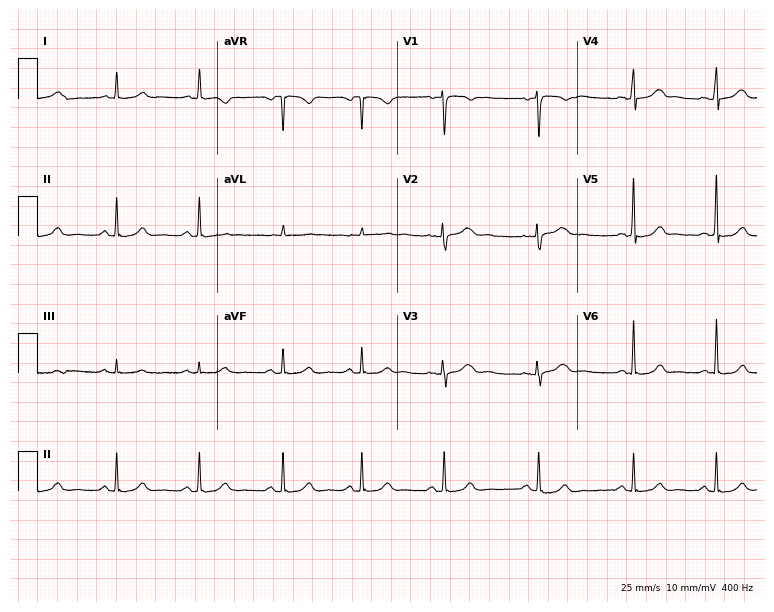
ECG (7.3-second recording at 400 Hz) — a 39-year-old female patient. Labelled as a normal ECG.